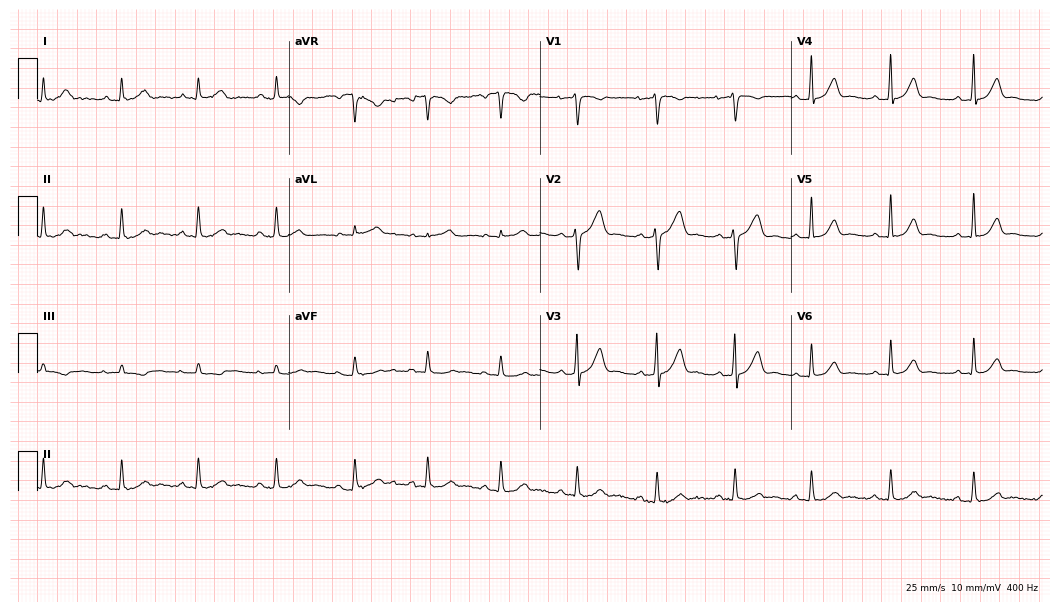
12-lead ECG from a 30-year-old female patient. Labelled as a normal ECG.